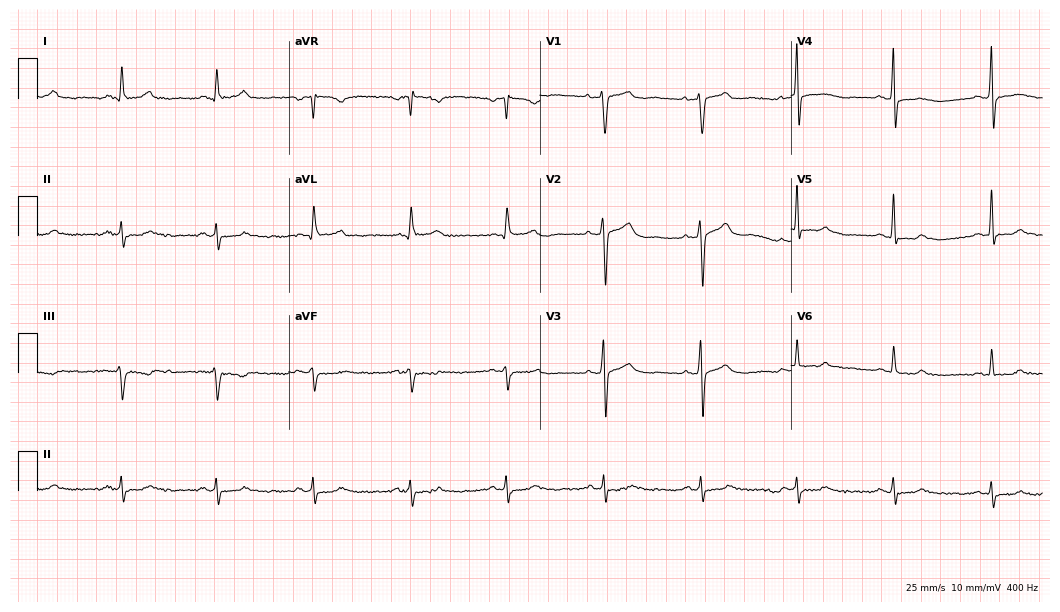
12-lead ECG (10.2-second recording at 400 Hz) from a man, 62 years old. Screened for six findings — first-degree AV block, right bundle branch block (RBBB), left bundle branch block (LBBB), sinus bradycardia, atrial fibrillation (AF), sinus tachycardia — none is recorded. Findings outside these six are not listed.